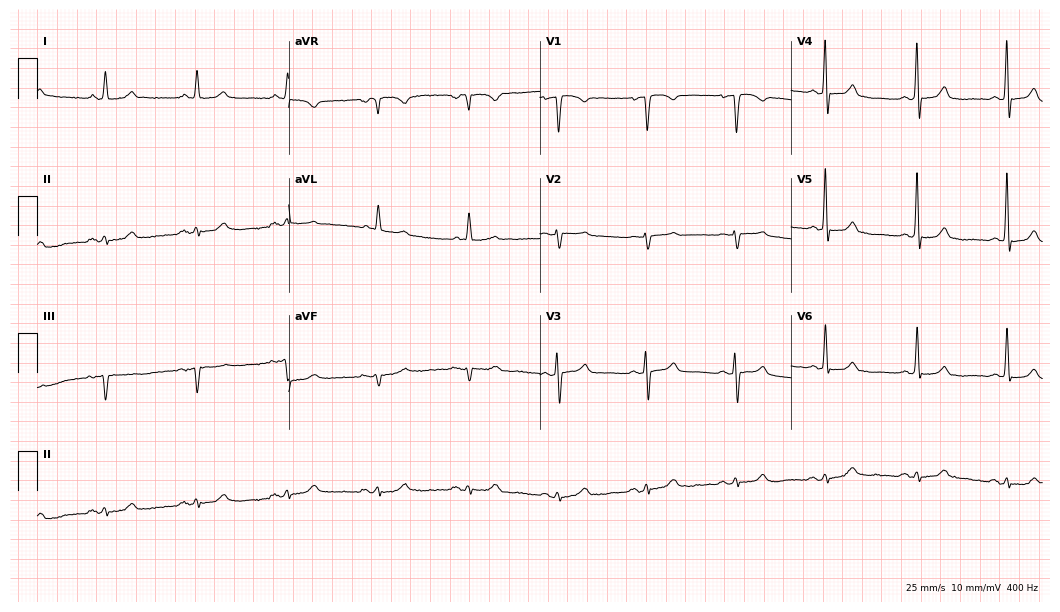
12-lead ECG from a female, 67 years old. Recorded interpretation: within normal limits.